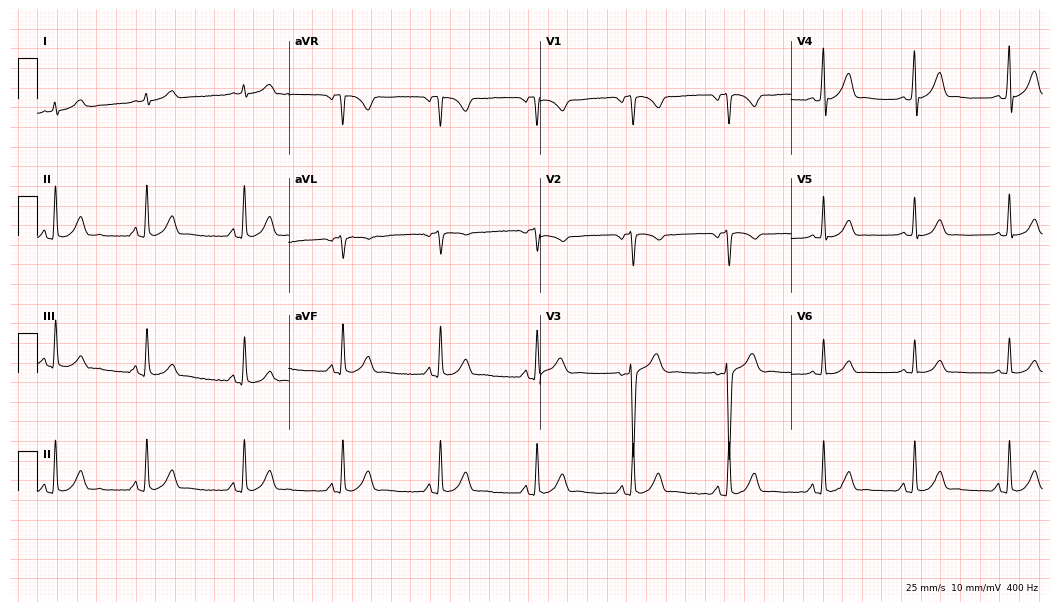
Electrocardiogram, a male, 27 years old. Of the six screened findings (first-degree AV block, right bundle branch block, left bundle branch block, sinus bradycardia, atrial fibrillation, sinus tachycardia), none is recorded. Only these six findings were labelled.